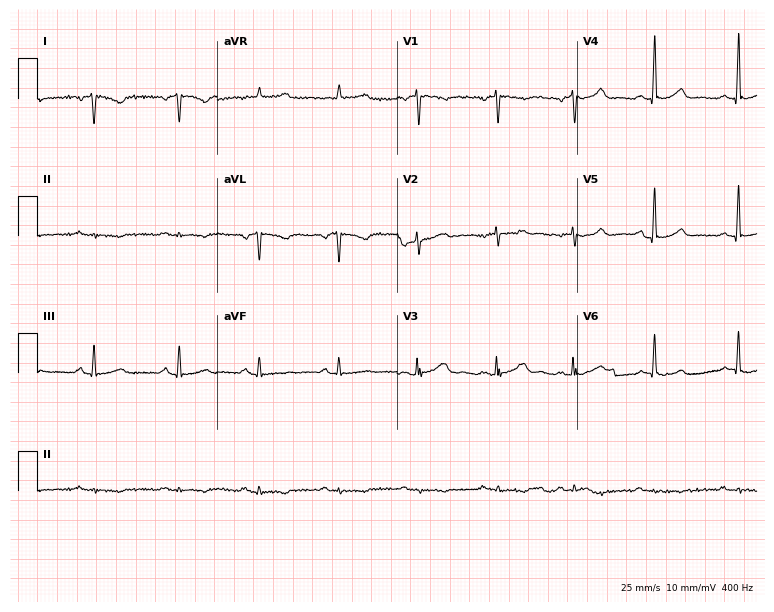
Electrocardiogram (7.3-second recording at 400 Hz), a 33-year-old female. Of the six screened findings (first-degree AV block, right bundle branch block (RBBB), left bundle branch block (LBBB), sinus bradycardia, atrial fibrillation (AF), sinus tachycardia), none is recorded.